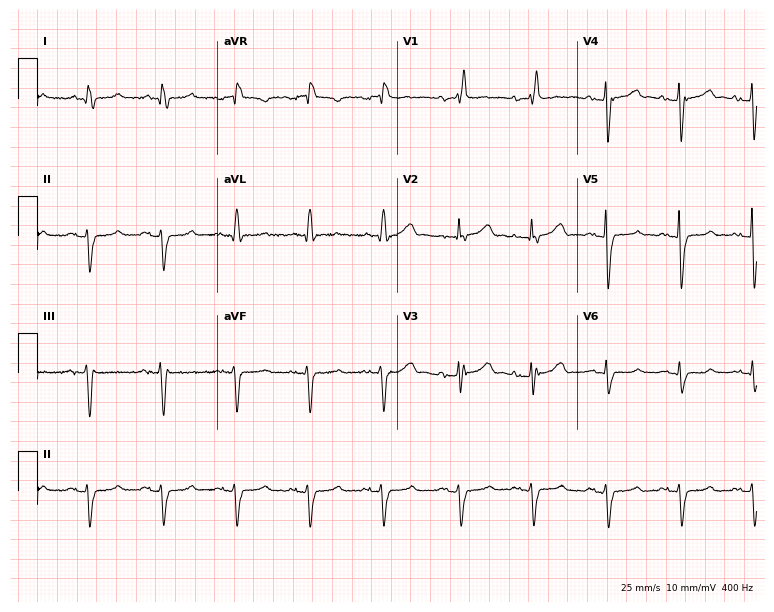
Resting 12-lead electrocardiogram. Patient: an 81-year-old female. The tracing shows right bundle branch block.